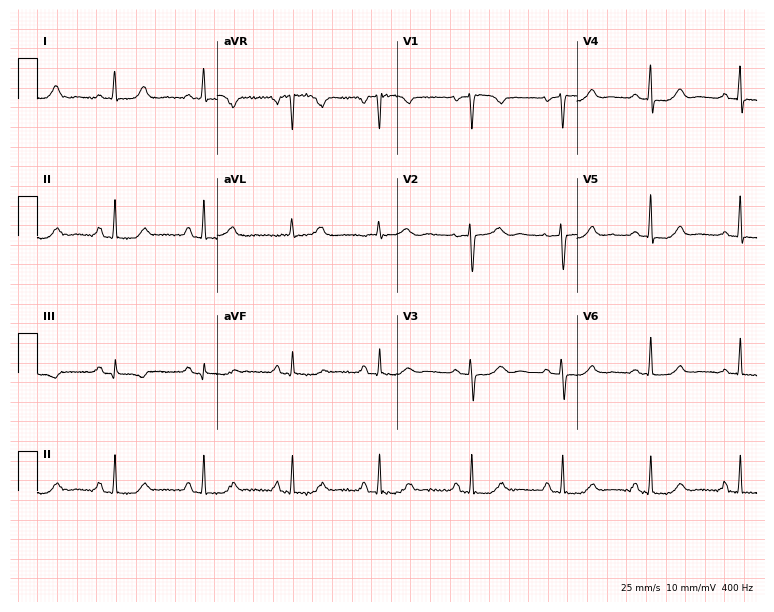
Electrocardiogram, a 60-year-old woman. Overall reading on record: normal ECG.